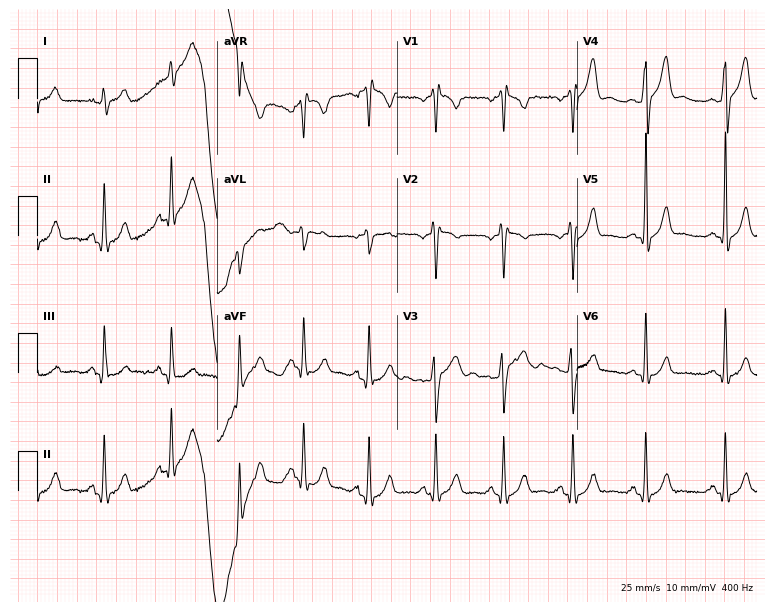
Electrocardiogram, a man, 25 years old. Of the six screened findings (first-degree AV block, right bundle branch block, left bundle branch block, sinus bradycardia, atrial fibrillation, sinus tachycardia), none is recorded. Other findings, if any, are not listed.